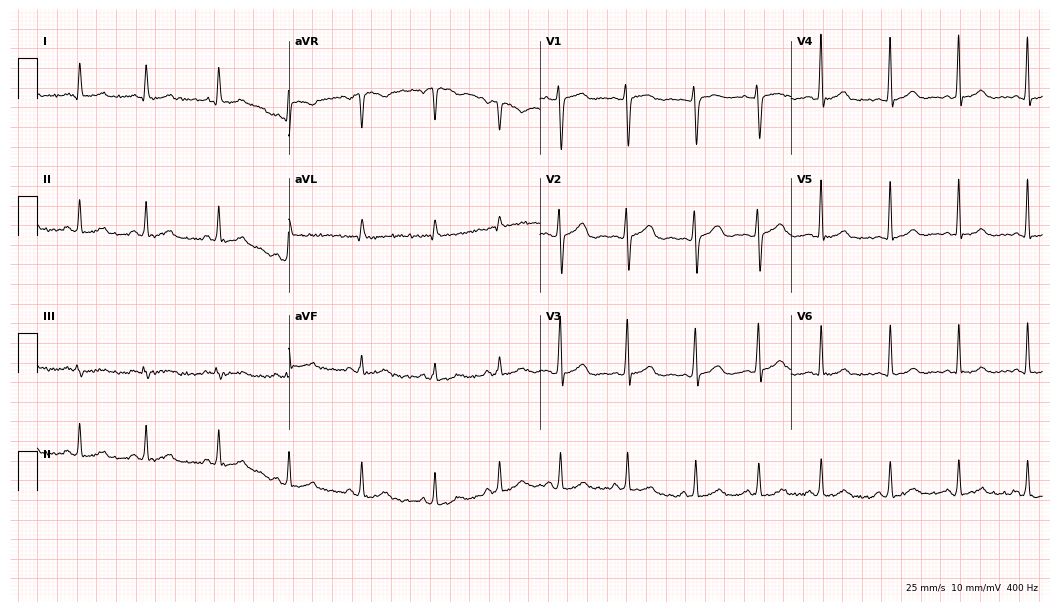
Resting 12-lead electrocardiogram. Patient: a female, 26 years old. Read as a normal ECG.